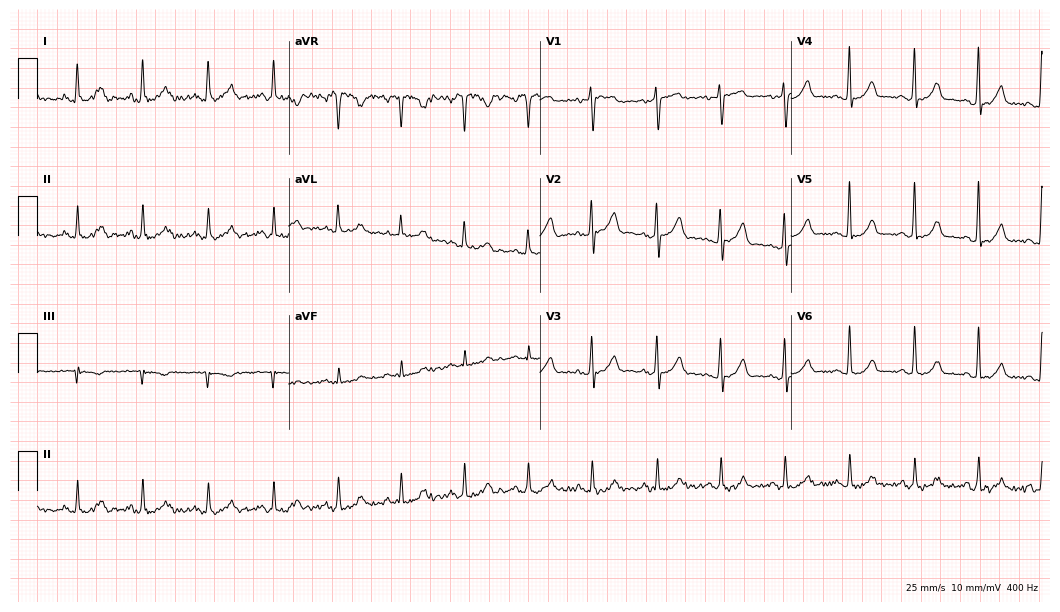
ECG — a female patient, 53 years old. Screened for six findings — first-degree AV block, right bundle branch block (RBBB), left bundle branch block (LBBB), sinus bradycardia, atrial fibrillation (AF), sinus tachycardia — none is recorded.